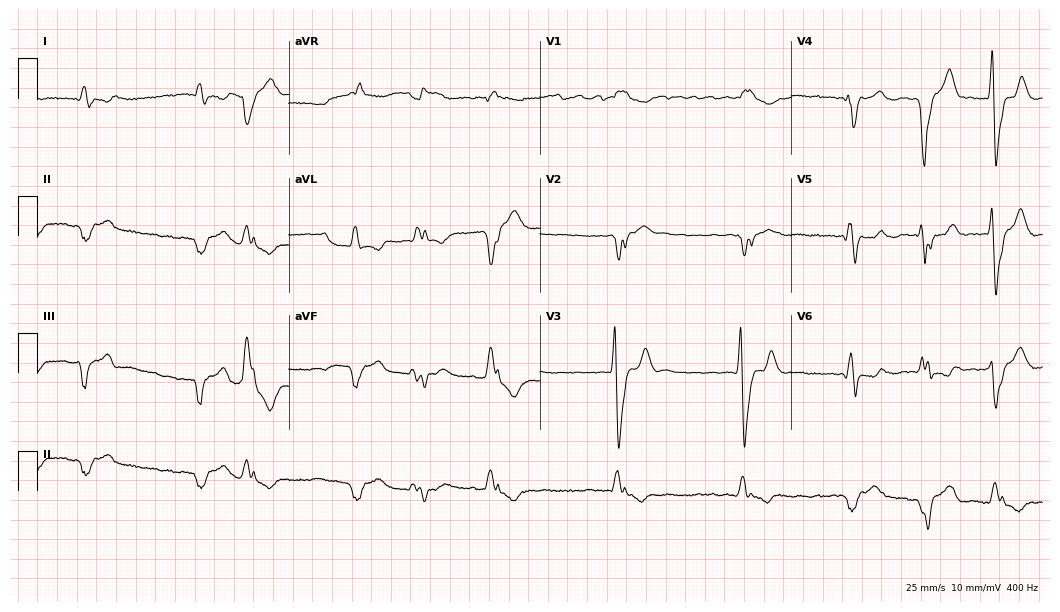
Electrocardiogram (10.2-second recording at 400 Hz), a 61-year-old female. Interpretation includes right bundle branch block, atrial fibrillation.